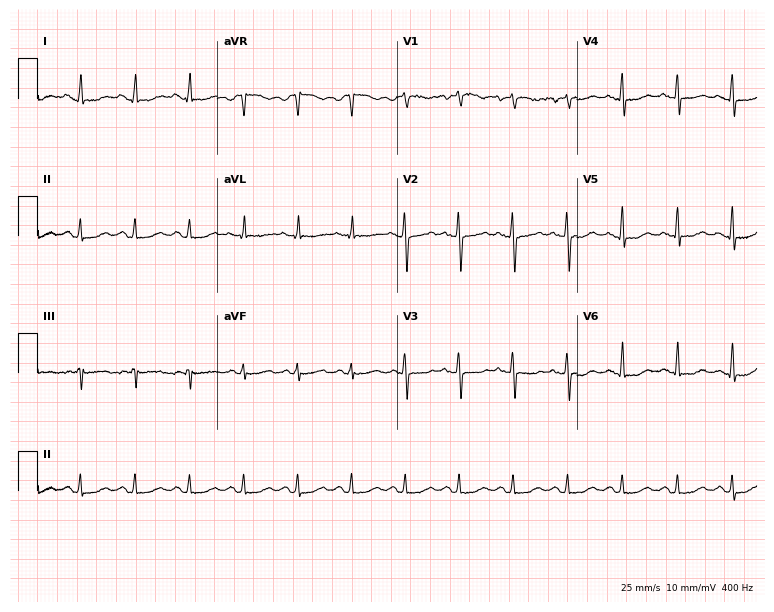
ECG (7.3-second recording at 400 Hz) — a 31-year-old female patient. Findings include sinus tachycardia (a sinus rate of 100 beats per minute or more).